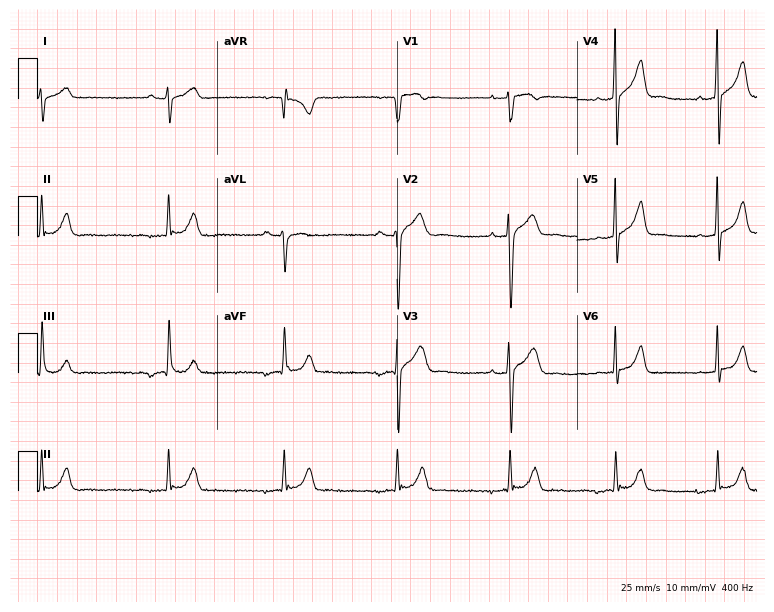
12-lead ECG (7.3-second recording at 400 Hz) from a 33-year-old male patient. Screened for six findings — first-degree AV block, right bundle branch block, left bundle branch block, sinus bradycardia, atrial fibrillation, sinus tachycardia — none is recorded.